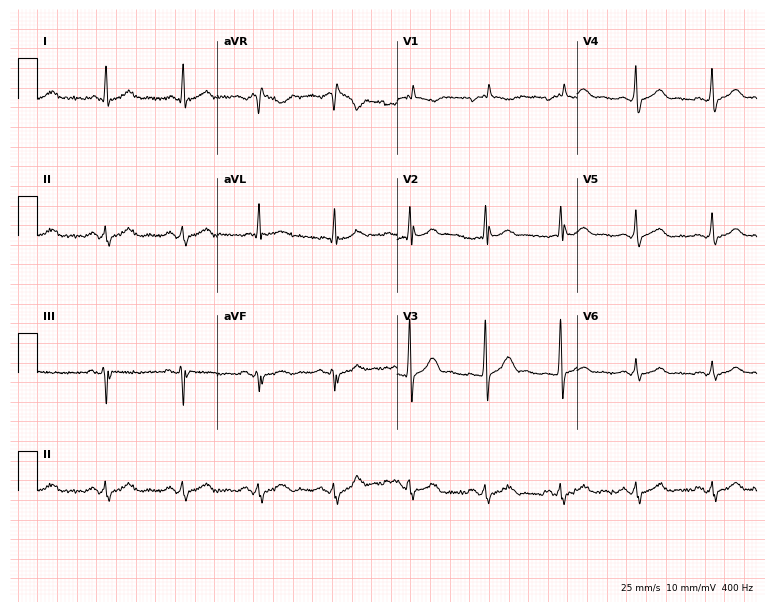
Resting 12-lead electrocardiogram. Patient: a 54-year-old male. None of these six findings is recorded: first-degree AV block, right bundle branch block, left bundle branch block, sinus bradycardia, atrial fibrillation, sinus tachycardia.